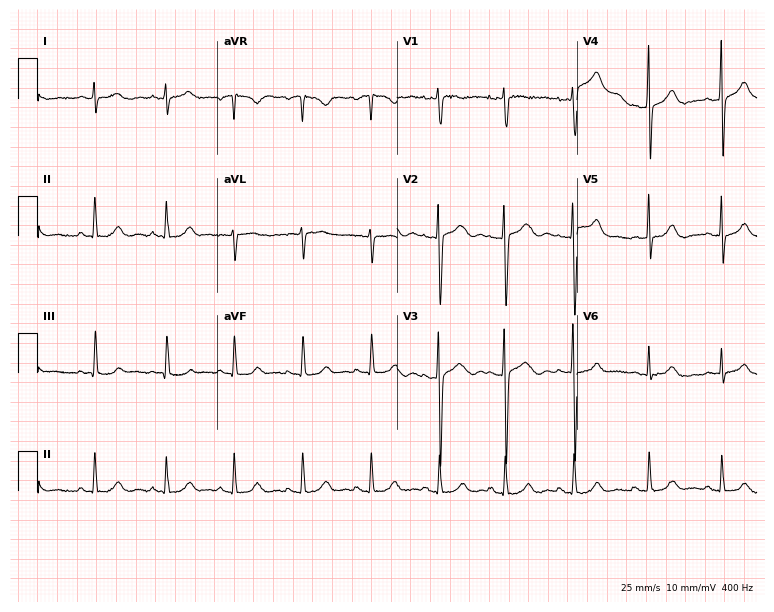
12-lead ECG from a female, 21 years old (7.3-second recording at 400 Hz). No first-degree AV block, right bundle branch block, left bundle branch block, sinus bradycardia, atrial fibrillation or sinus tachycardia recorded for this tracing. Other findings, if any, are not listed.